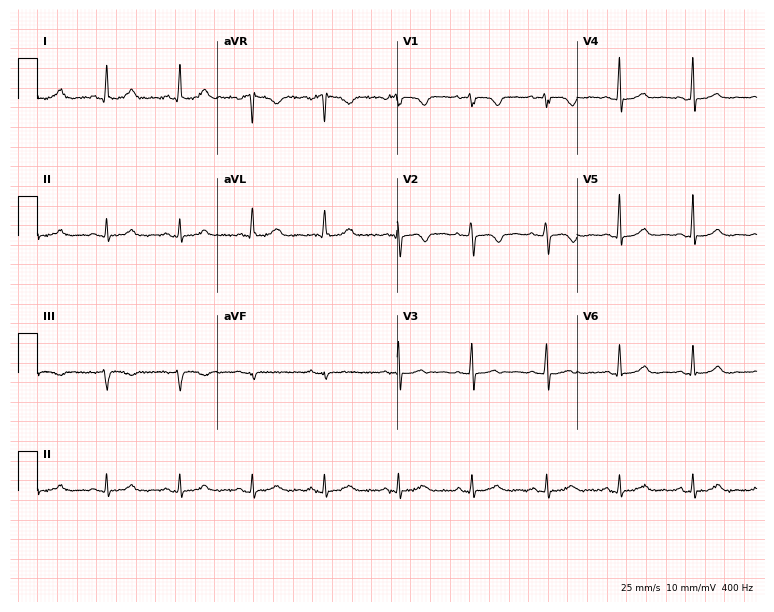
Standard 12-lead ECG recorded from a 58-year-old woman (7.3-second recording at 400 Hz). None of these six findings is recorded: first-degree AV block, right bundle branch block, left bundle branch block, sinus bradycardia, atrial fibrillation, sinus tachycardia. Only these six findings were labelled.